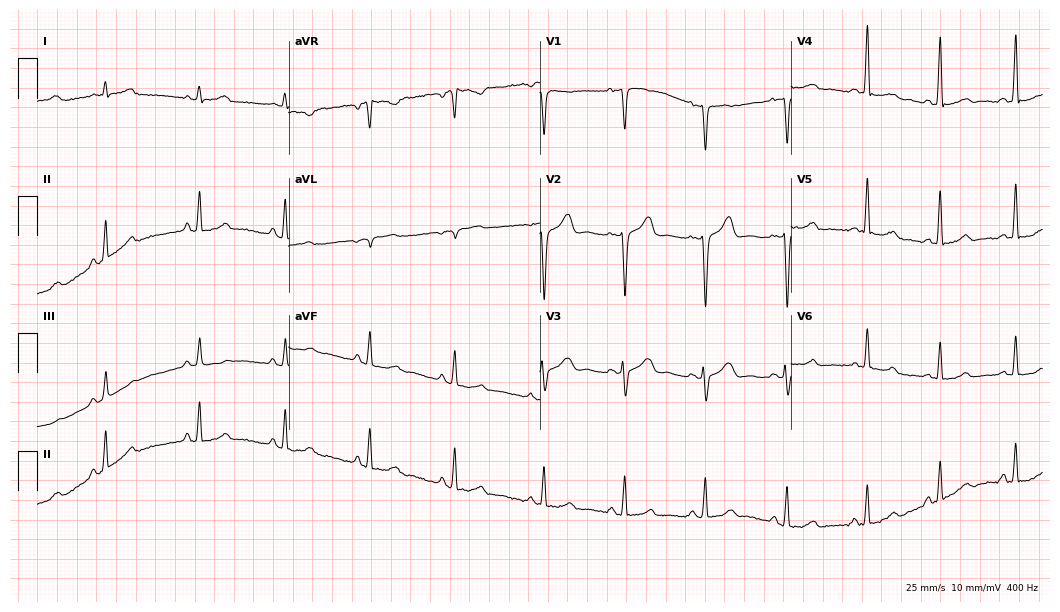
12-lead ECG (10.2-second recording at 400 Hz) from a 34-year-old female. Labelled as a normal ECG.